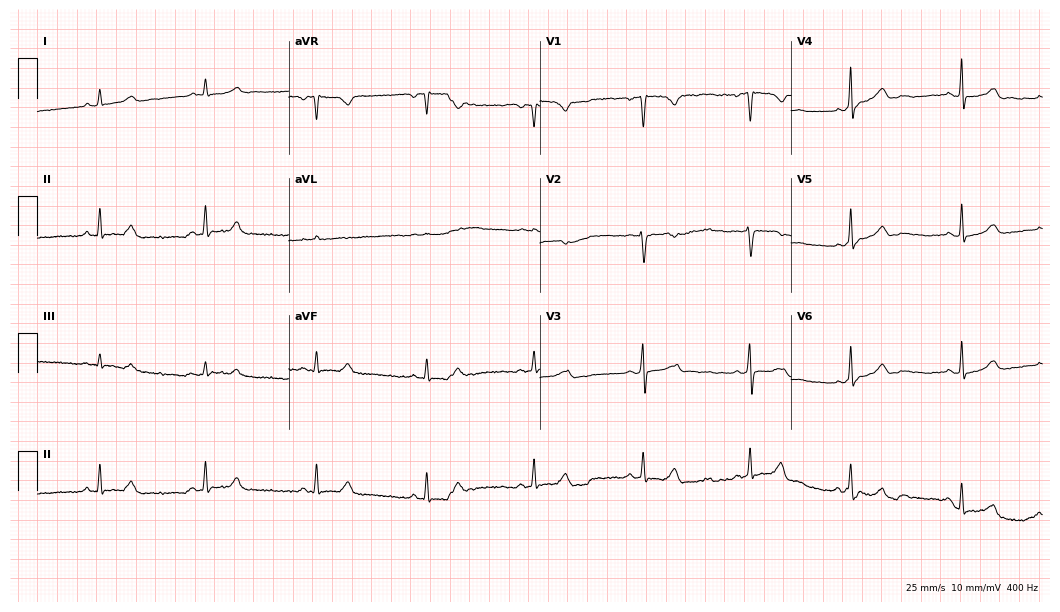
ECG — a 31-year-old female. Labelled as a normal ECG.